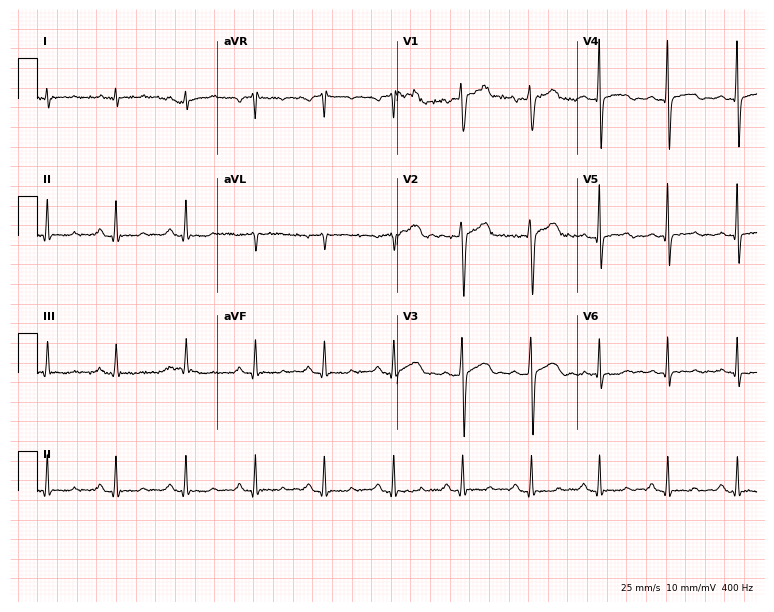
12-lead ECG from a man, 49 years old (7.3-second recording at 400 Hz). No first-degree AV block, right bundle branch block, left bundle branch block, sinus bradycardia, atrial fibrillation or sinus tachycardia recorded for this tracing. Findings outside these six are not listed.